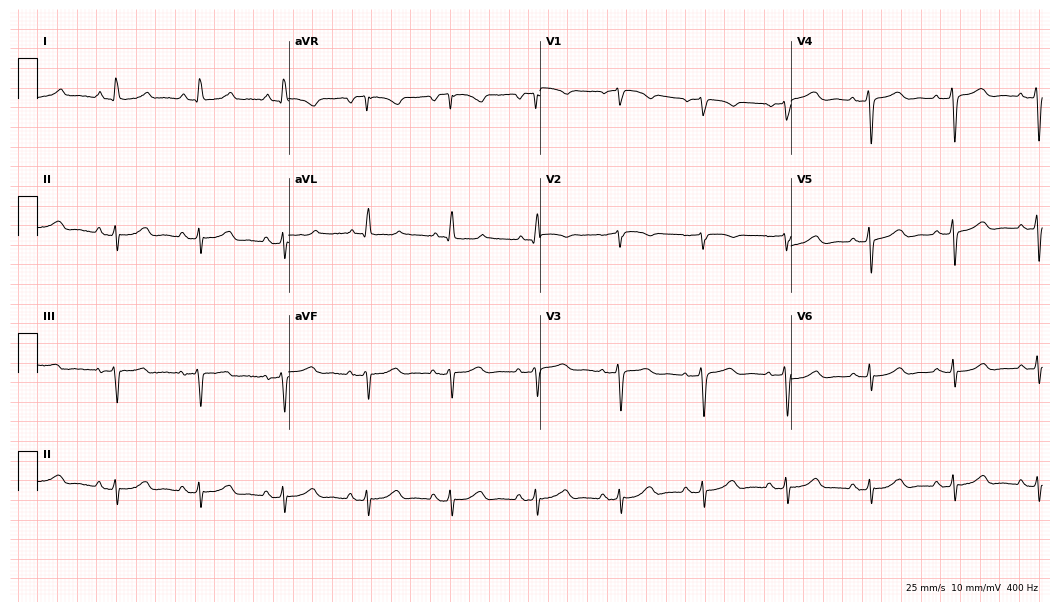
Standard 12-lead ECG recorded from a 67-year-old female patient. None of these six findings is recorded: first-degree AV block, right bundle branch block, left bundle branch block, sinus bradycardia, atrial fibrillation, sinus tachycardia. Findings outside these six are not listed.